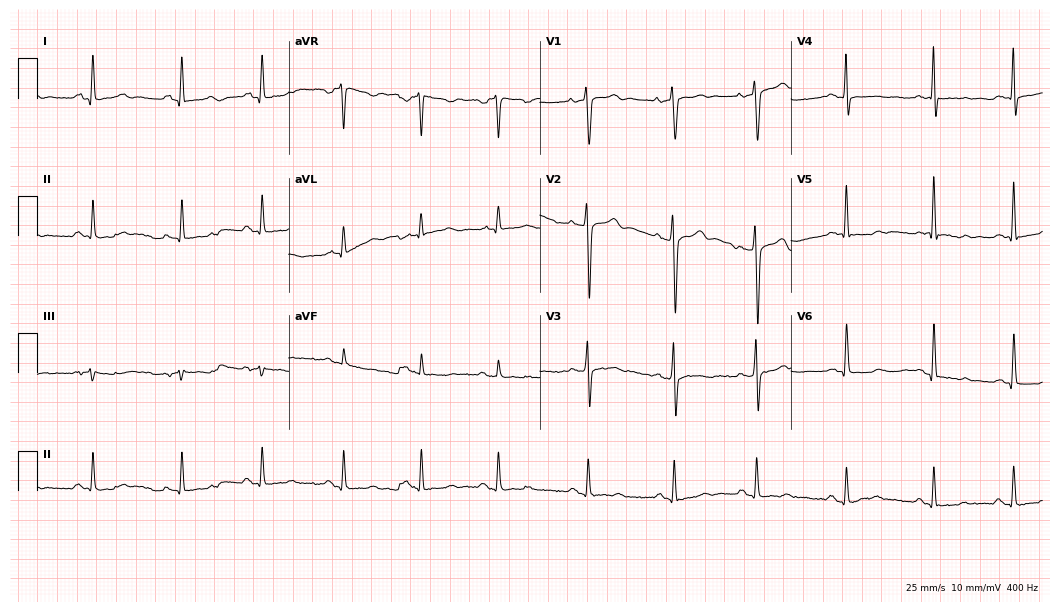
12-lead ECG (10.2-second recording at 400 Hz) from a female patient, 32 years old. Screened for six findings — first-degree AV block, right bundle branch block (RBBB), left bundle branch block (LBBB), sinus bradycardia, atrial fibrillation (AF), sinus tachycardia — none is recorded. Only these six findings were labelled.